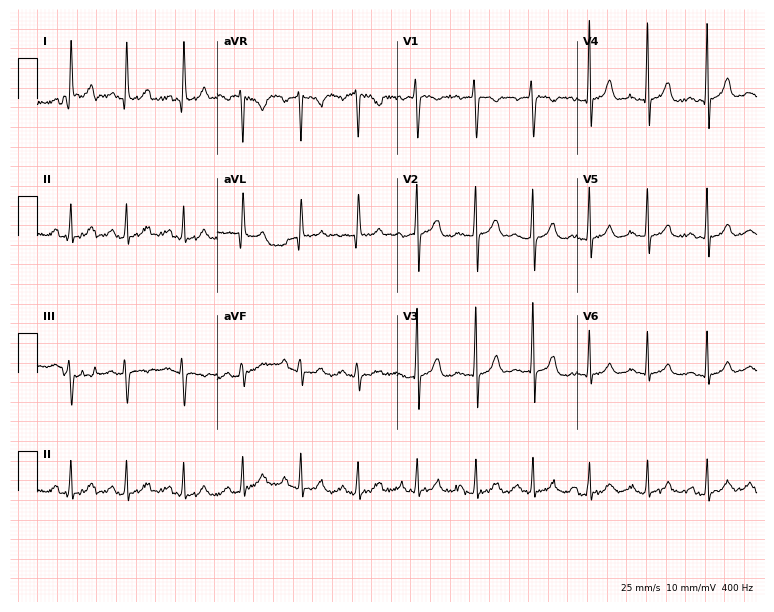
12-lead ECG from a woman, 39 years old. Recorded interpretation: within normal limits.